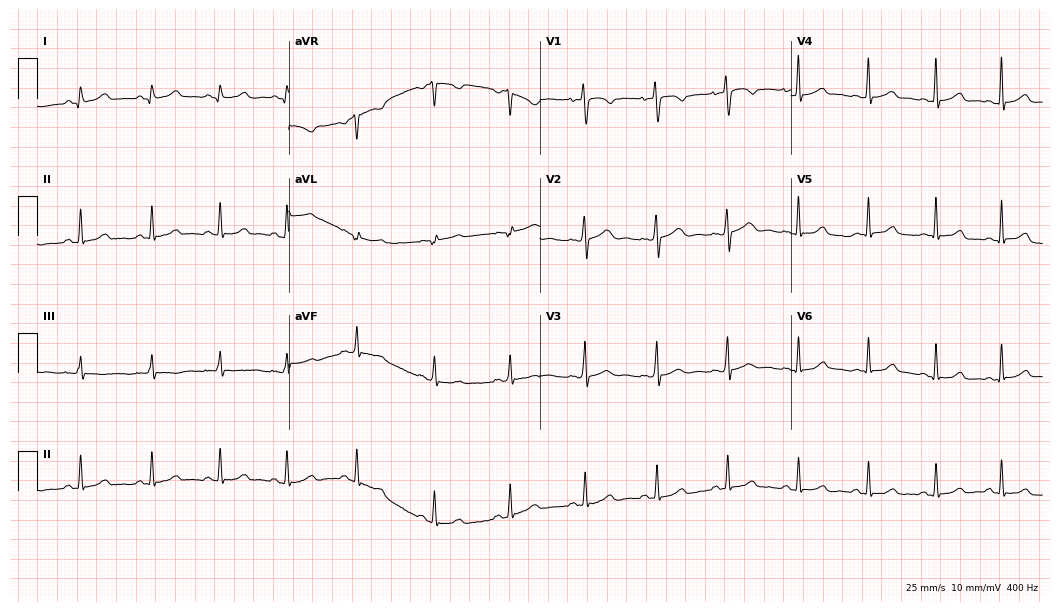
12-lead ECG (10.2-second recording at 400 Hz) from a 19-year-old female. Labelled as a normal ECG.